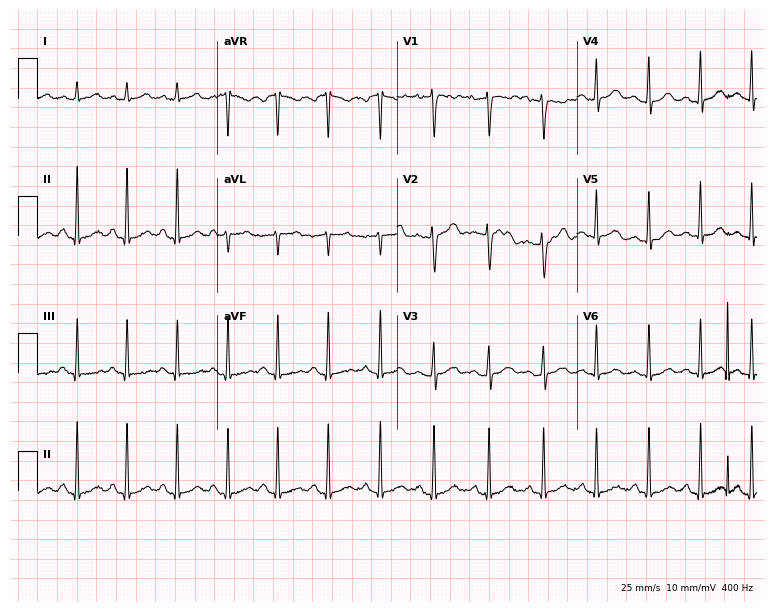
Standard 12-lead ECG recorded from a 17-year-old woman (7.3-second recording at 400 Hz). The tracing shows sinus tachycardia (a sinus rate of 100 beats per minute or more).